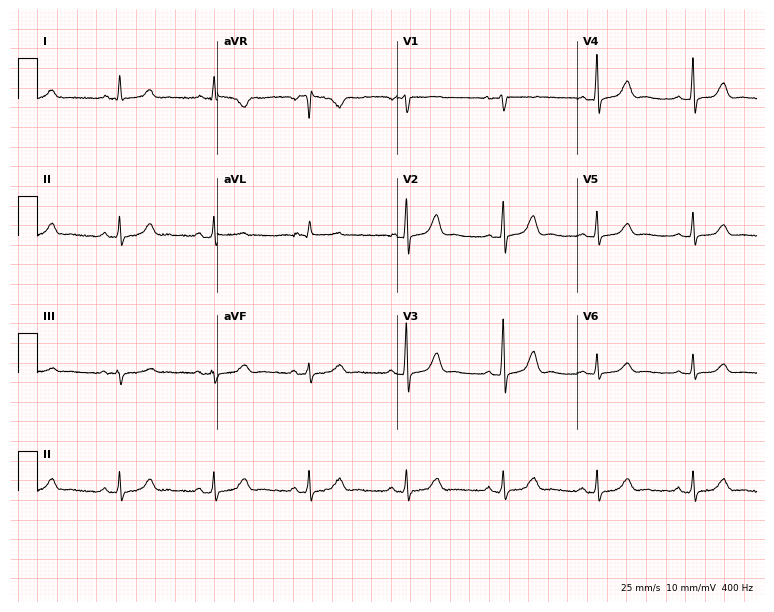
Standard 12-lead ECG recorded from a female patient, 58 years old. Read as a normal ECG.